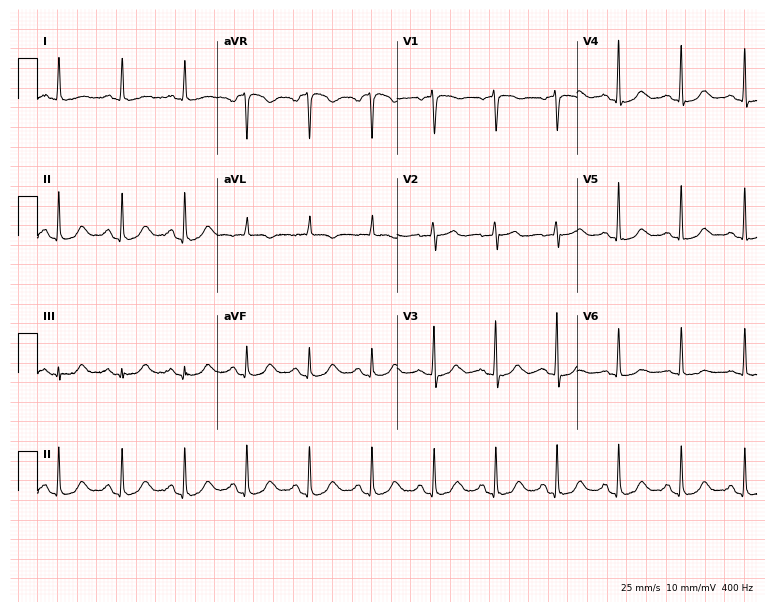
Electrocardiogram (7.3-second recording at 400 Hz), a 73-year-old female. Of the six screened findings (first-degree AV block, right bundle branch block, left bundle branch block, sinus bradycardia, atrial fibrillation, sinus tachycardia), none is recorded.